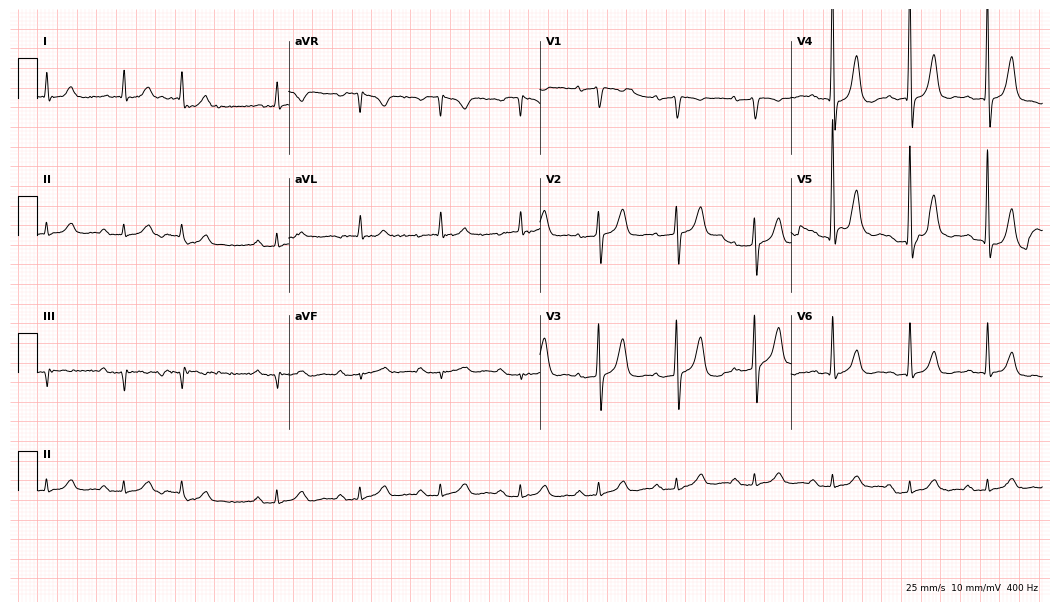
12-lead ECG from a man, 85 years old (10.2-second recording at 400 Hz). Shows first-degree AV block.